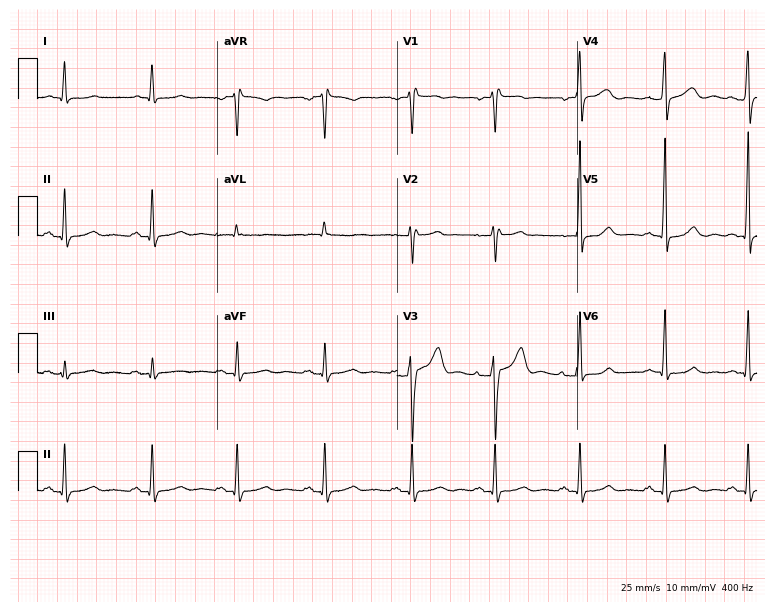
12-lead ECG from a 41-year-old male (7.3-second recording at 400 Hz). Recorded interpretation: within normal limits.